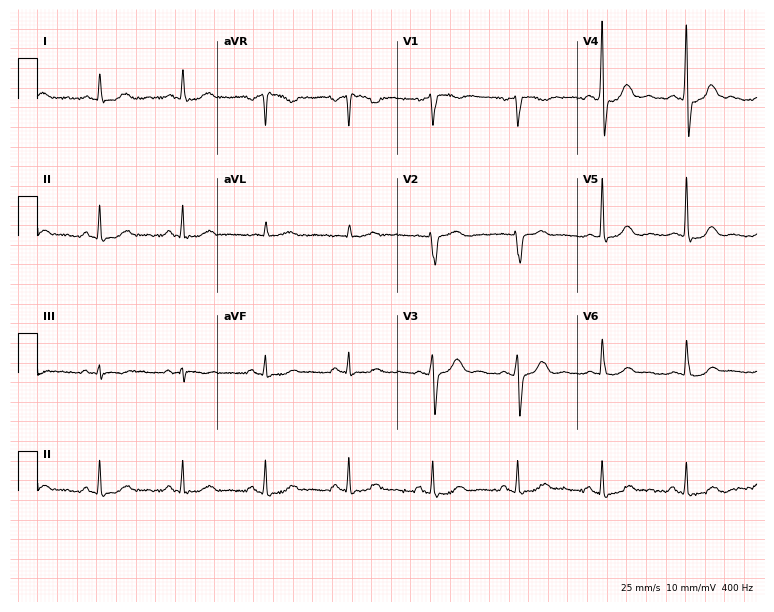
12-lead ECG from a 65-year-old female patient (7.3-second recording at 400 Hz). No first-degree AV block, right bundle branch block, left bundle branch block, sinus bradycardia, atrial fibrillation or sinus tachycardia recorded for this tracing.